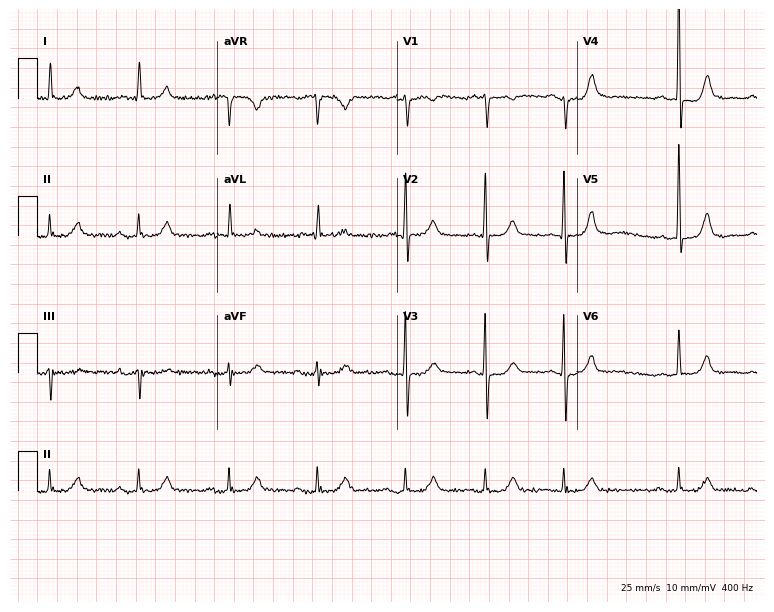
Electrocardiogram (7.3-second recording at 400 Hz), an 82-year-old female patient. Interpretation includes first-degree AV block.